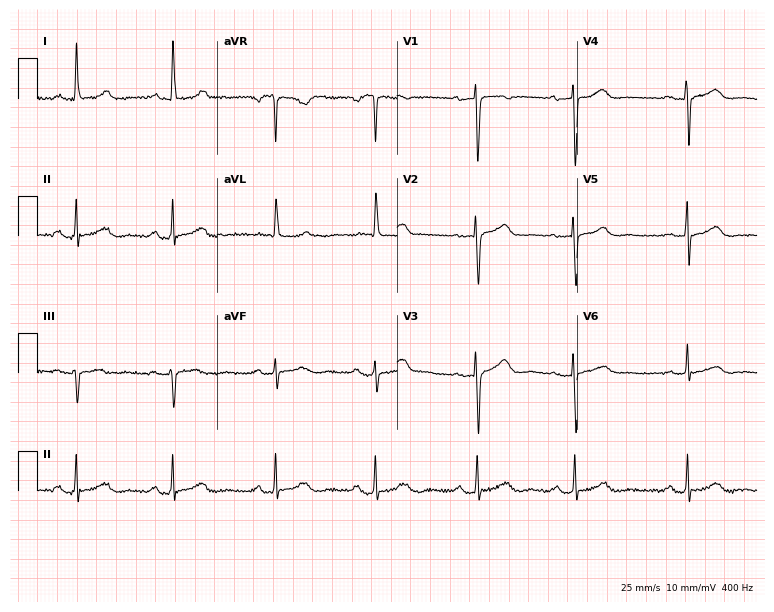
Resting 12-lead electrocardiogram. Patient: an 81-year-old female. Read as a normal ECG.